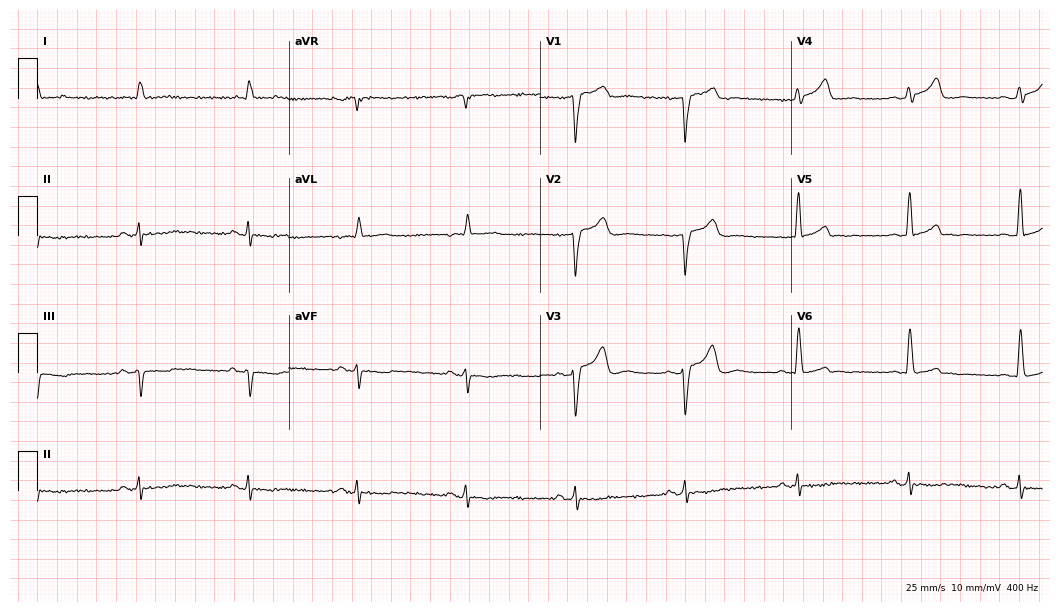
Resting 12-lead electrocardiogram (10.2-second recording at 400 Hz). Patient: a male, 74 years old. None of these six findings is recorded: first-degree AV block, right bundle branch block, left bundle branch block, sinus bradycardia, atrial fibrillation, sinus tachycardia. Other findings, if any, are not listed.